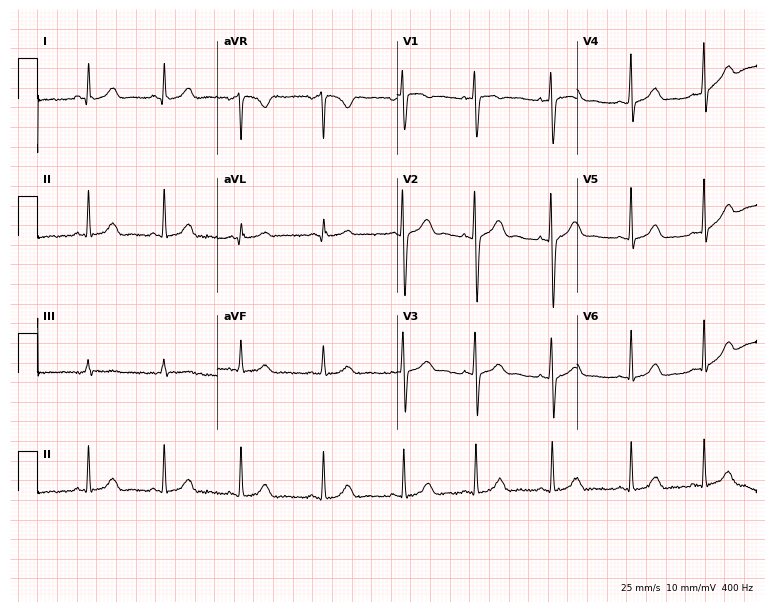
ECG — a female, 27 years old. Screened for six findings — first-degree AV block, right bundle branch block (RBBB), left bundle branch block (LBBB), sinus bradycardia, atrial fibrillation (AF), sinus tachycardia — none is recorded. Only these six findings were labelled.